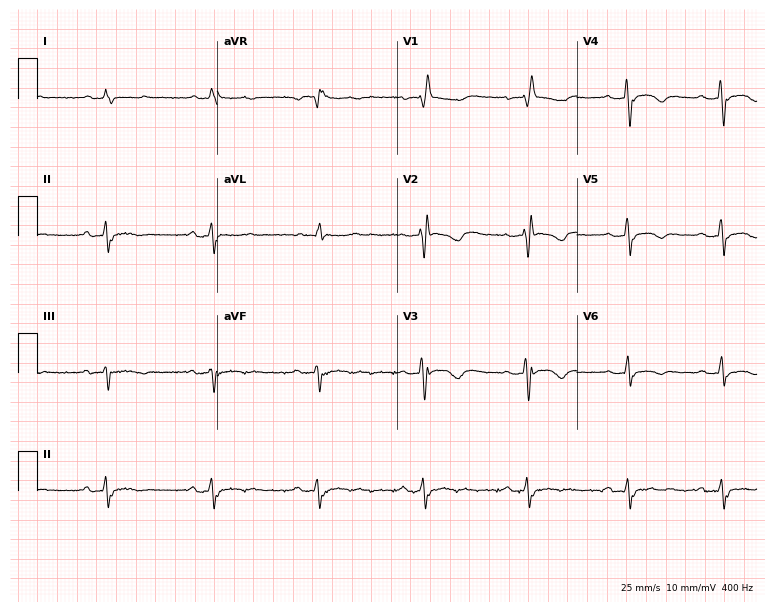
ECG — a 73-year-old female. Findings include right bundle branch block (RBBB).